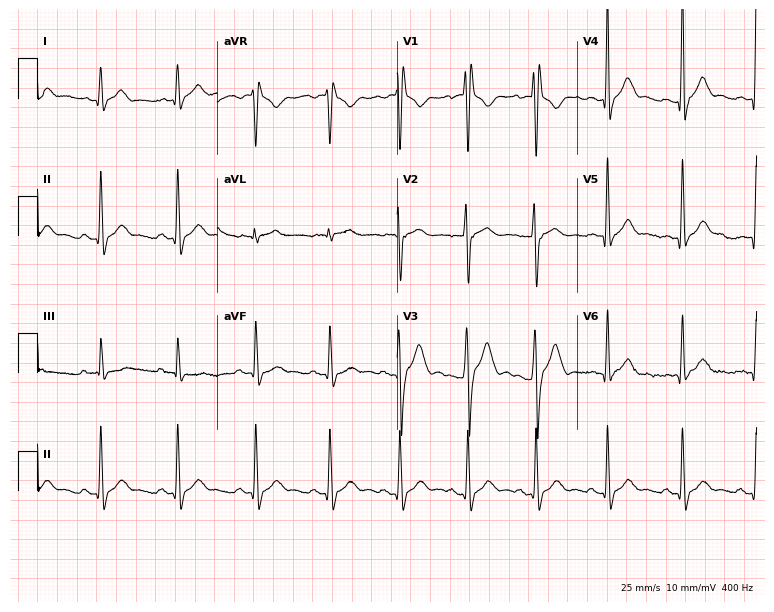
Standard 12-lead ECG recorded from a 34-year-old male. The tracing shows right bundle branch block.